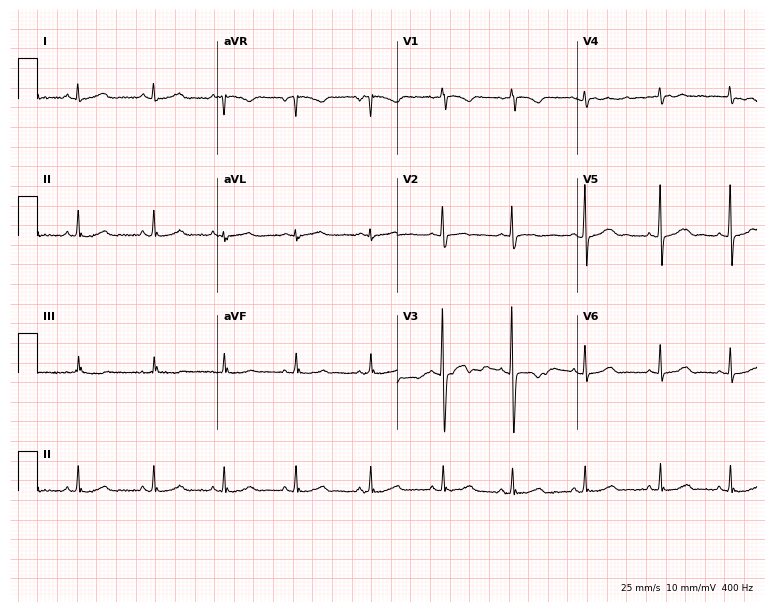
12-lead ECG (7.3-second recording at 400 Hz) from a woman, 17 years old. Screened for six findings — first-degree AV block, right bundle branch block, left bundle branch block, sinus bradycardia, atrial fibrillation, sinus tachycardia — none is recorded.